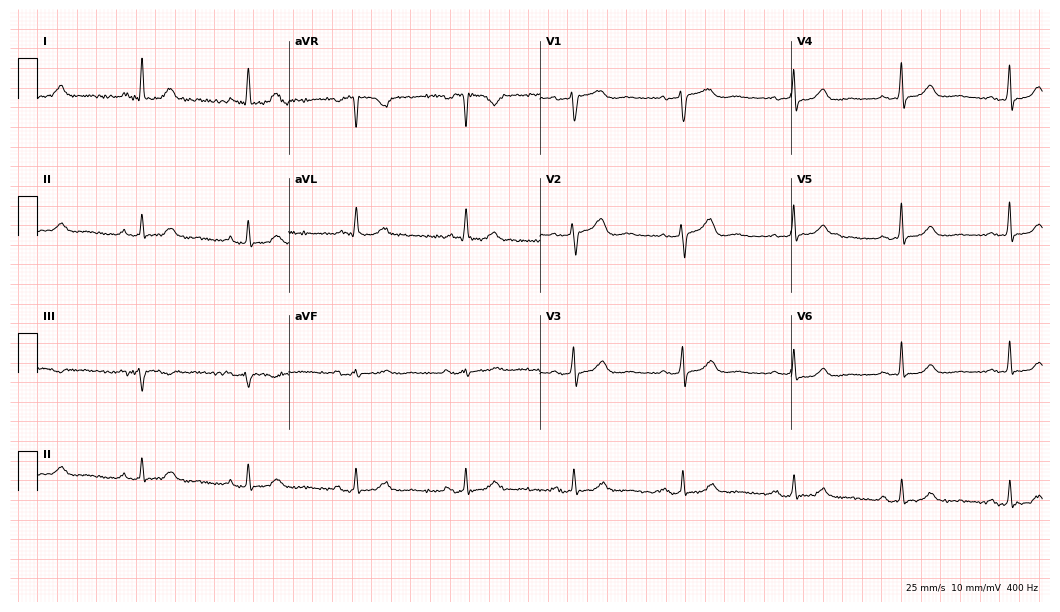
Resting 12-lead electrocardiogram (10.2-second recording at 400 Hz). Patient: a female, 64 years old. Read as a normal ECG.